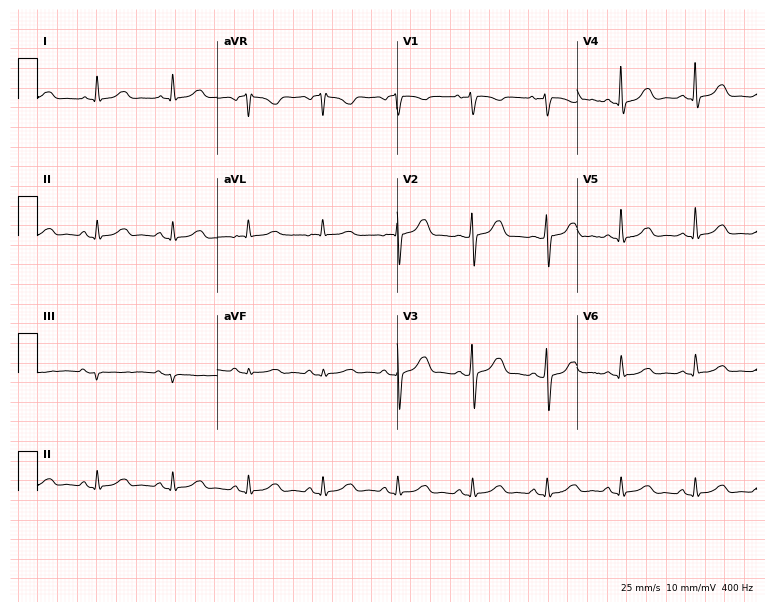
12-lead ECG from a female patient, 76 years old (7.3-second recording at 400 Hz). No first-degree AV block, right bundle branch block (RBBB), left bundle branch block (LBBB), sinus bradycardia, atrial fibrillation (AF) or sinus tachycardia recorded for this tracing. Findings outside these six are not listed.